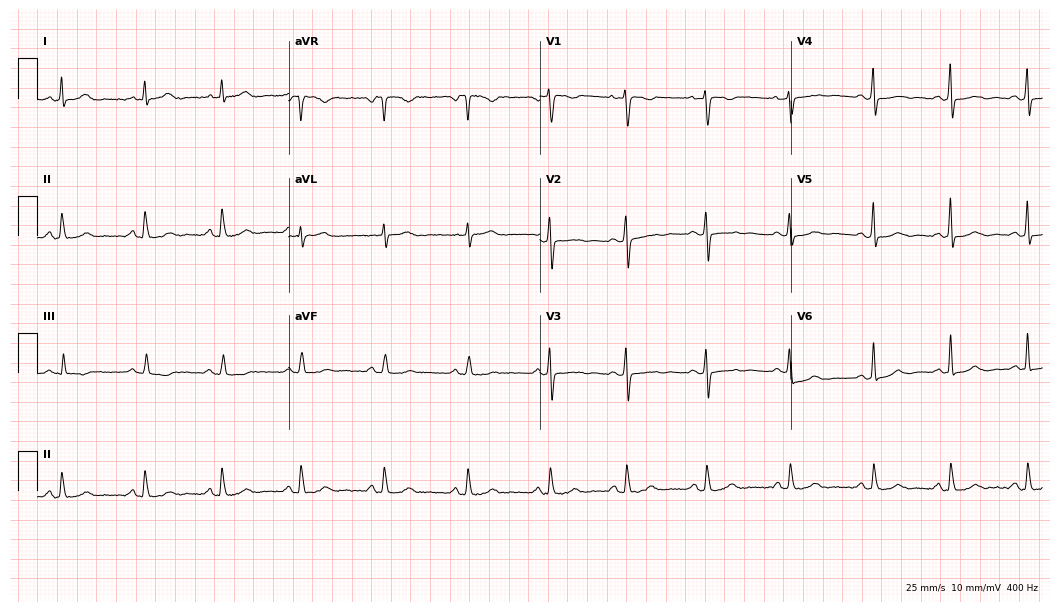
12-lead ECG from a 41-year-old woman. Labelled as a normal ECG.